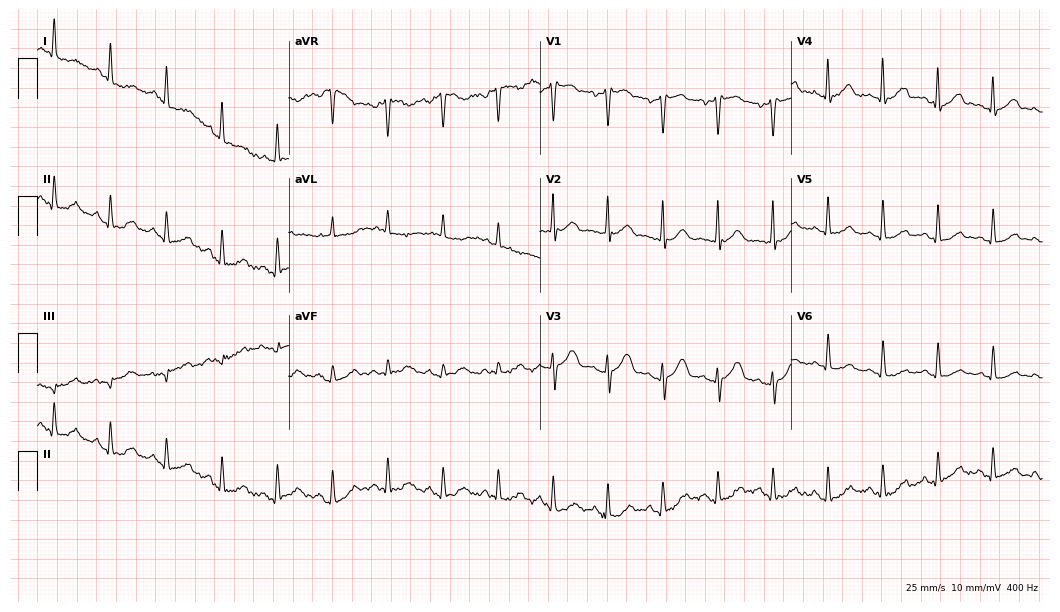
Electrocardiogram (10.2-second recording at 400 Hz), a female patient, 69 years old. Interpretation includes sinus tachycardia (a sinus rate of 100 beats per minute or more).